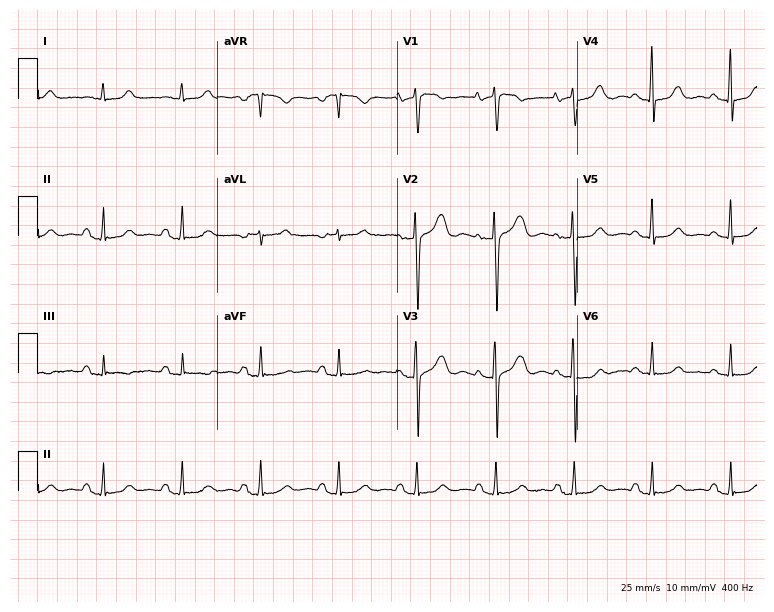
Resting 12-lead electrocardiogram. Patient: a 68-year-old female. Read as a normal ECG.